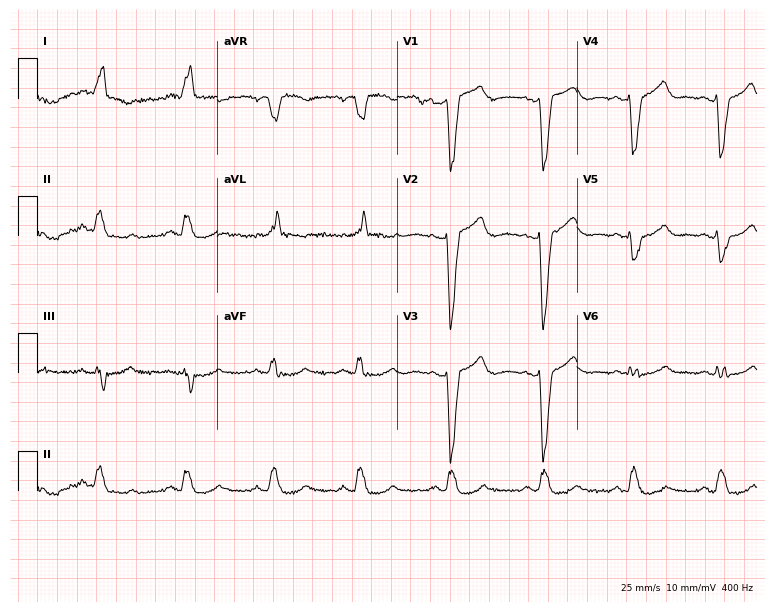
Electrocardiogram (7.3-second recording at 400 Hz), a 58-year-old female patient. Interpretation includes left bundle branch block.